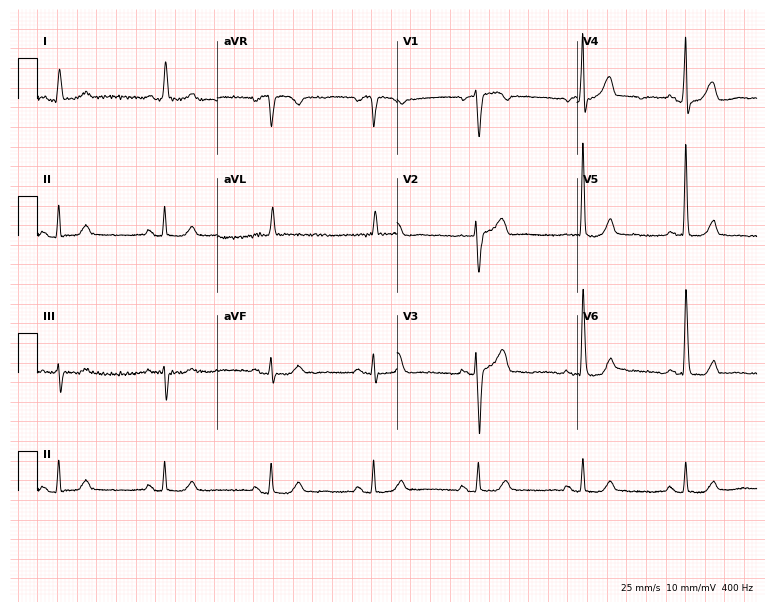
12-lead ECG from a female patient, 67 years old. Recorded interpretation: within normal limits.